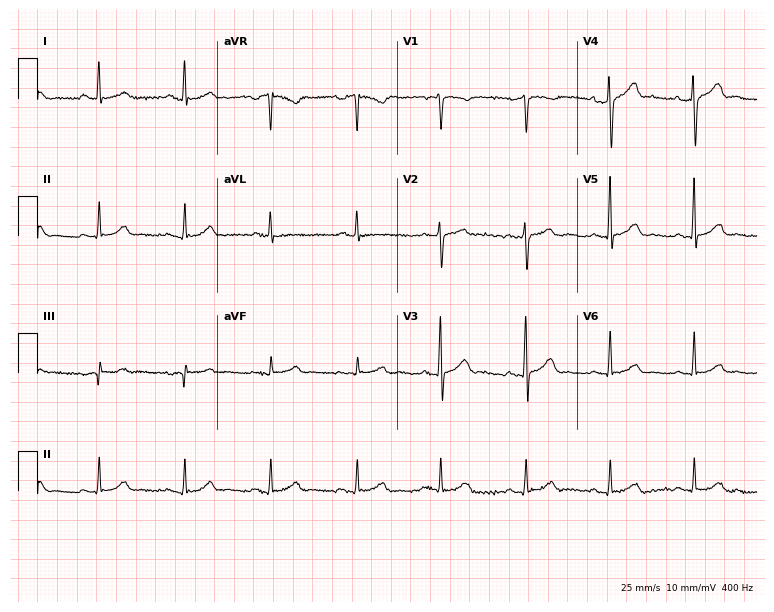
12-lead ECG from a 67-year-old male patient (7.3-second recording at 400 Hz). Recorded interpretation: within normal limits.